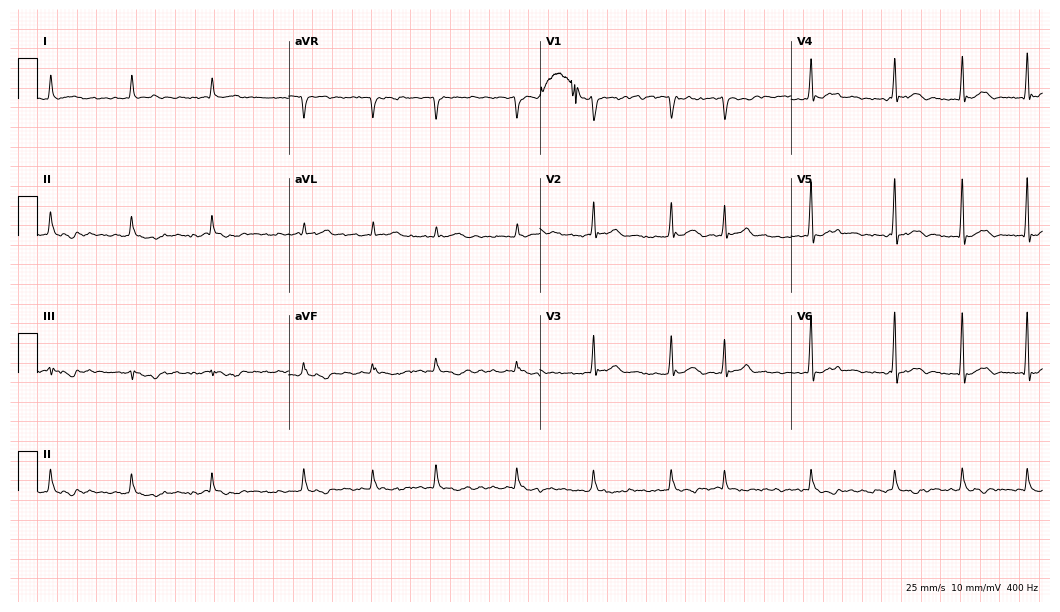
Standard 12-lead ECG recorded from a male, 80 years old. The tracing shows atrial fibrillation.